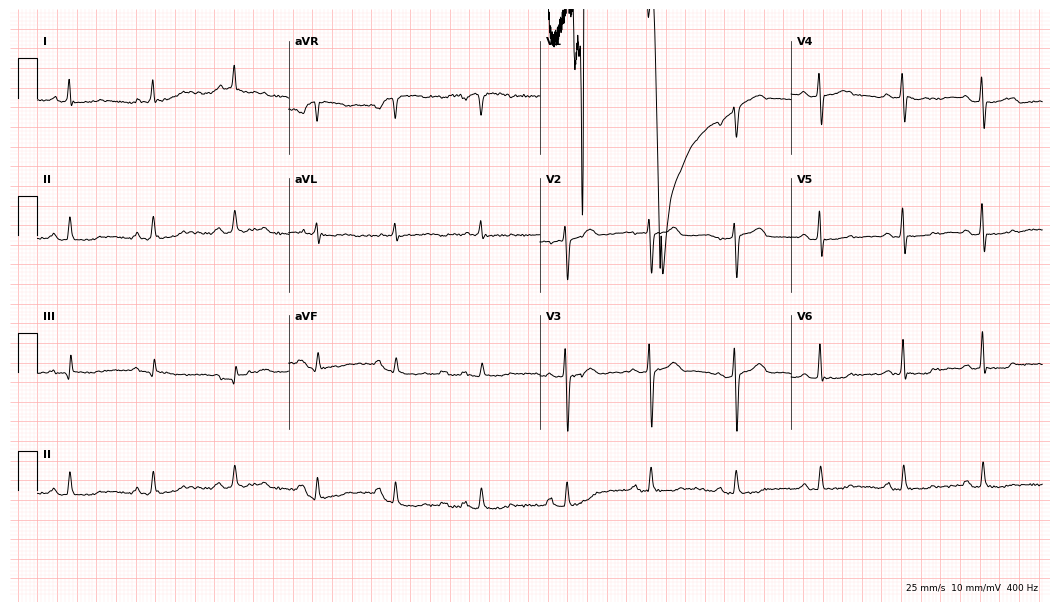
Standard 12-lead ECG recorded from a 62-year-old male patient (10.2-second recording at 400 Hz). None of these six findings is recorded: first-degree AV block, right bundle branch block, left bundle branch block, sinus bradycardia, atrial fibrillation, sinus tachycardia.